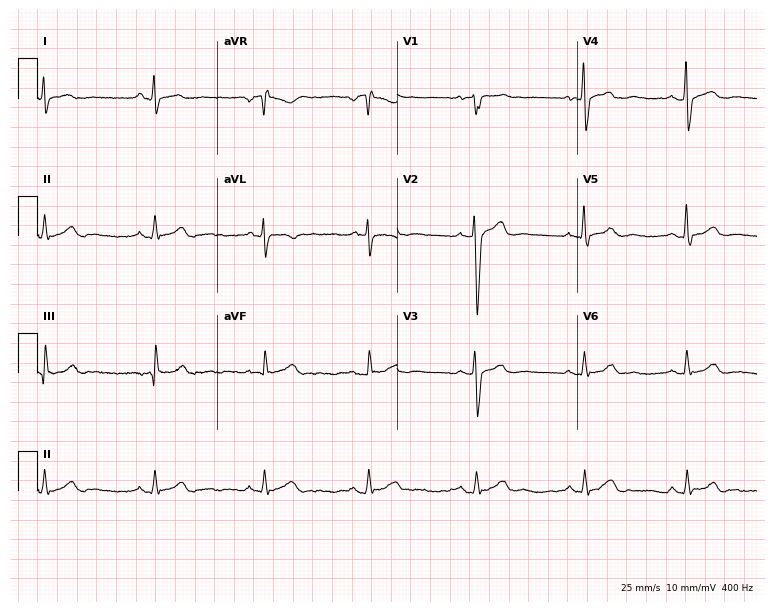
Resting 12-lead electrocardiogram (7.3-second recording at 400 Hz). Patient: a male, 37 years old. None of these six findings is recorded: first-degree AV block, right bundle branch block, left bundle branch block, sinus bradycardia, atrial fibrillation, sinus tachycardia. Only these six findings were labelled.